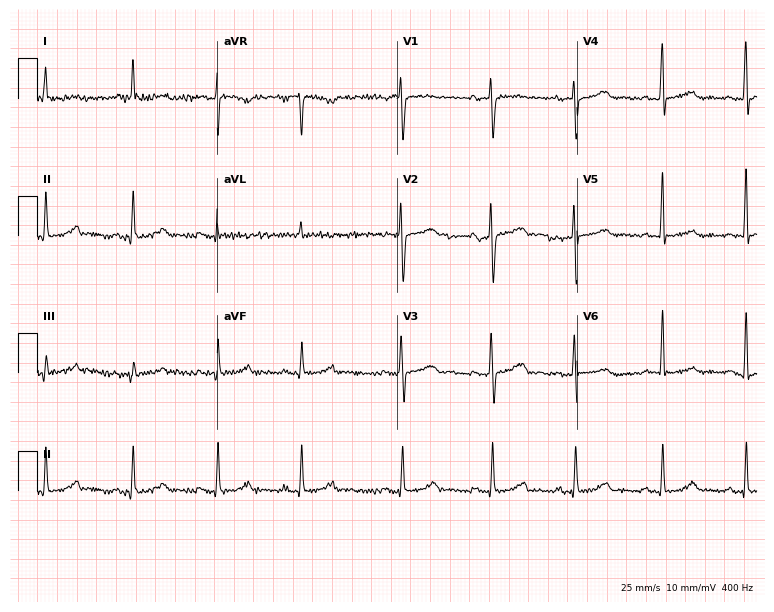
ECG (7.3-second recording at 400 Hz) — a 75-year-old female patient. Labelled as a normal ECG.